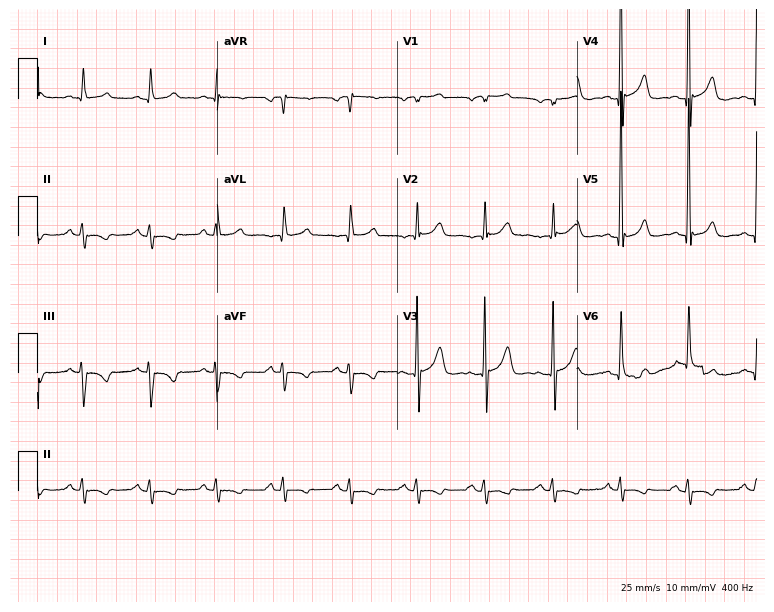
ECG — a male, 57 years old. Screened for six findings — first-degree AV block, right bundle branch block (RBBB), left bundle branch block (LBBB), sinus bradycardia, atrial fibrillation (AF), sinus tachycardia — none is recorded.